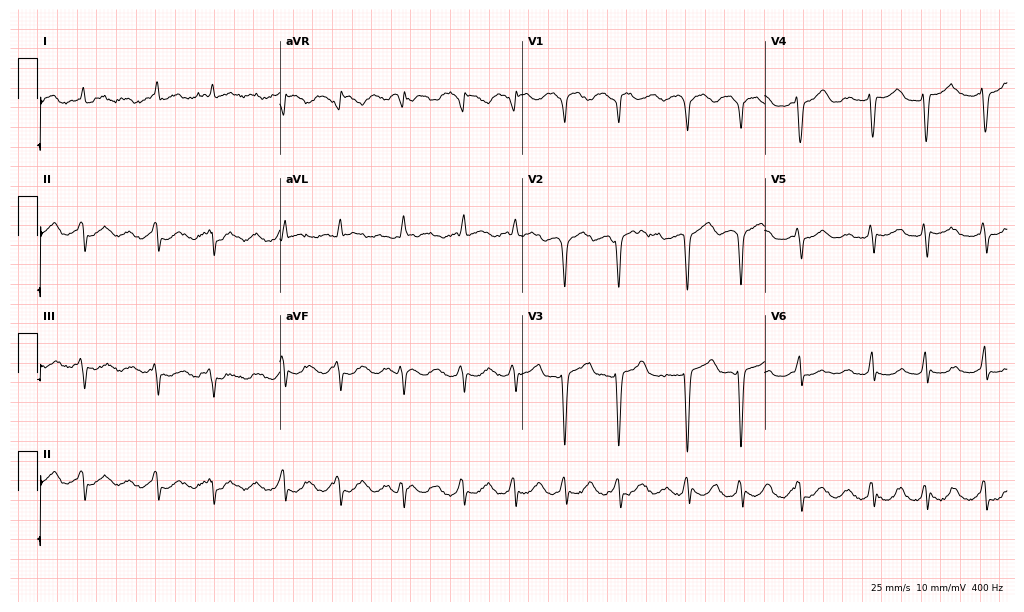
ECG — a male, 48 years old. Findings include atrial fibrillation.